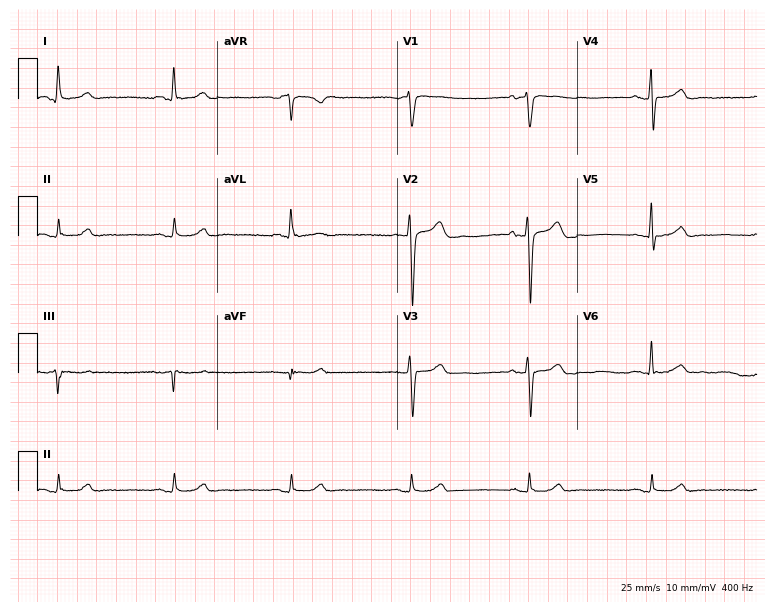
Resting 12-lead electrocardiogram. Patient: a 60-year-old man. Read as a normal ECG.